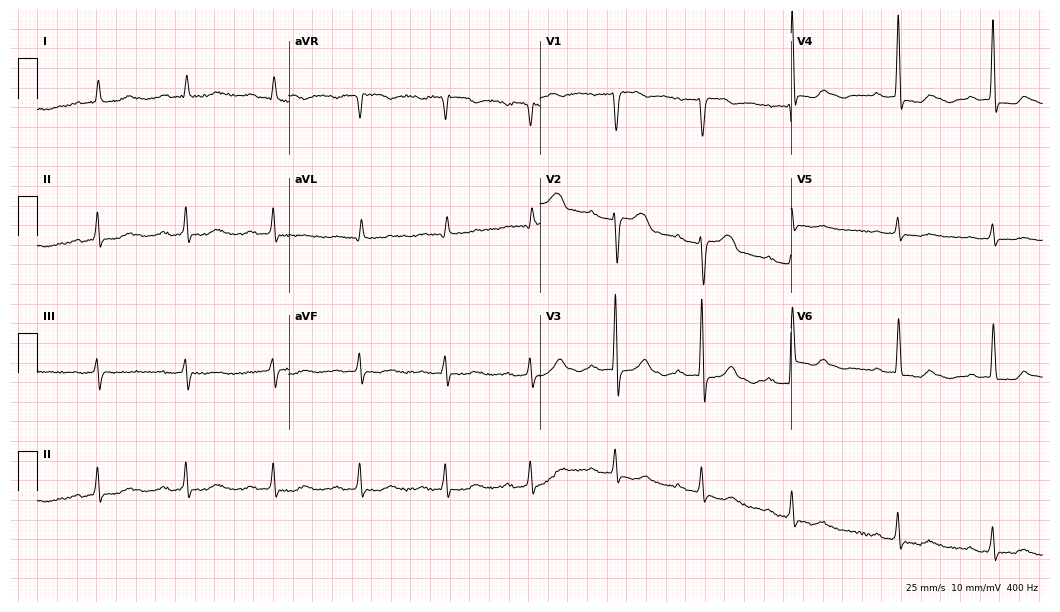
Electrocardiogram (10.2-second recording at 400 Hz), a female, 85 years old. Interpretation includes first-degree AV block.